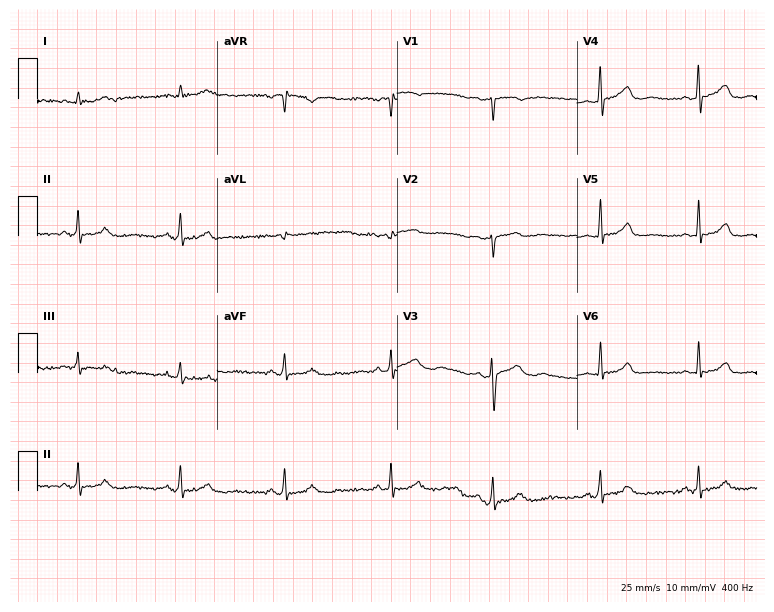
Standard 12-lead ECG recorded from a 36-year-old woman (7.3-second recording at 400 Hz). None of these six findings is recorded: first-degree AV block, right bundle branch block, left bundle branch block, sinus bradycardia, atrial fibrillation, sinus tachycardia. Other findings, if any, are not listed.